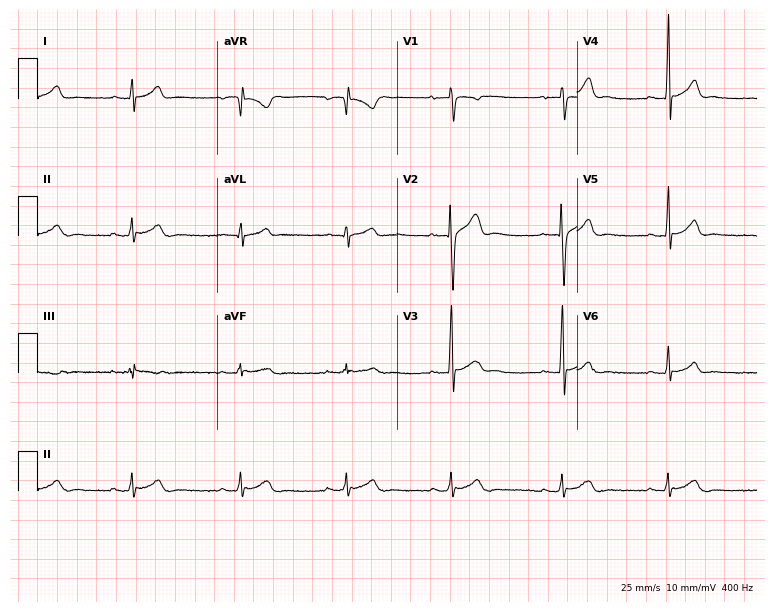
ECG (7.3-second recording at 400 Hz) — a male patient, 17 years old. Screened for six findings — first-degree AV block, right bundle branch block, left bundle branch block, sinus bradycardia, atrial fibrillation, sinus tachycardia — none is recorded. Only these six findings were labelled.